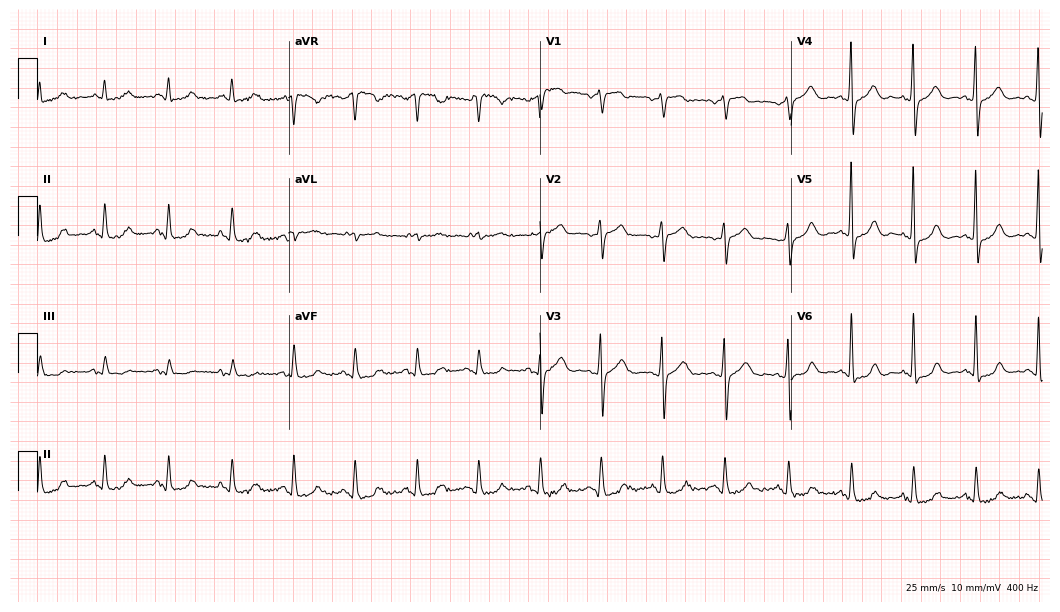
12-lead ECG from a 61-year-old female patient. No first-degree AV block, right bundle branch block (RBBB), left bundle branch block (LBBB), sinus bradycardia, atrial fibrillation (AF) or sinus tachycardia recorded for this tracing. Only these six findings were labelled.